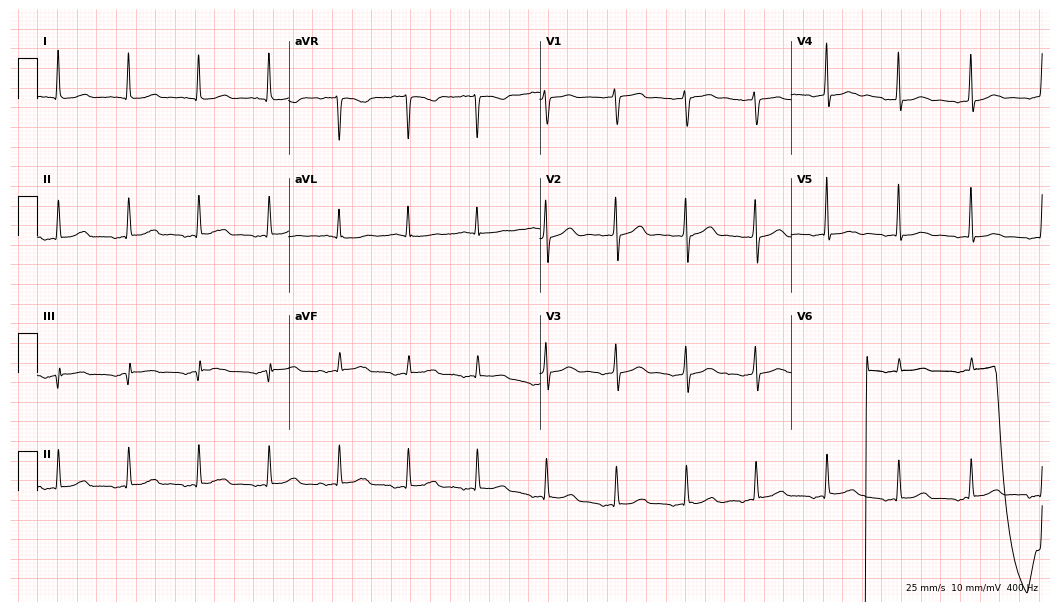
12-lead ECG from a female patient, 85 years old. No first-degree AV block, right bundle branch block (RBBB), left bundle branch block (LBBB), sinus bradycardia, atrial fibrillation (AF) or sinus tachycardia recorded for this tracing.